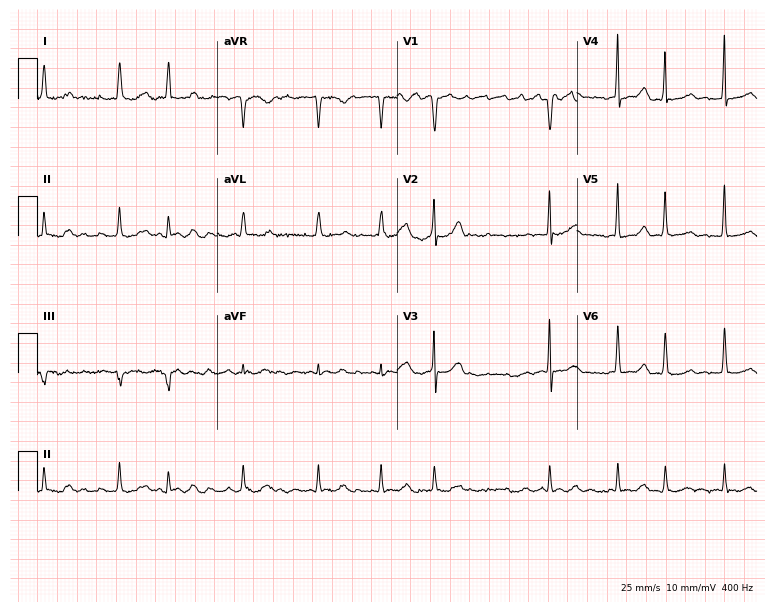
ECG (7.3-second recording at 400 Hz) — a woman, 73 years old. Findings include atrial fibrillation (AF).